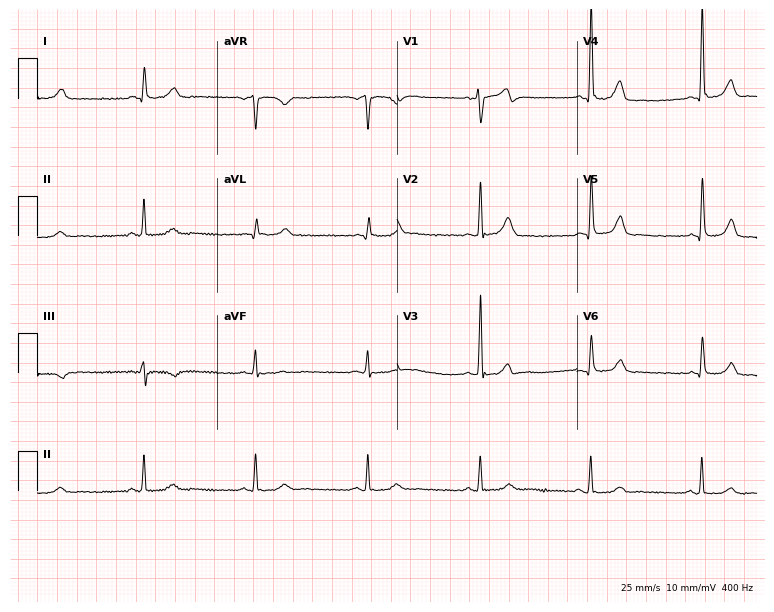
Standard 12-lead ECG recorded from a male, 75 years old (7.3-second recording at 400 Hz). None of these six findings is recorded: first-degree AV block, right bundle branch block, left bundle branch block, sinus bradycardia, atrial fibrillation, sinus tachycardia. Findings outside these six are not listed.